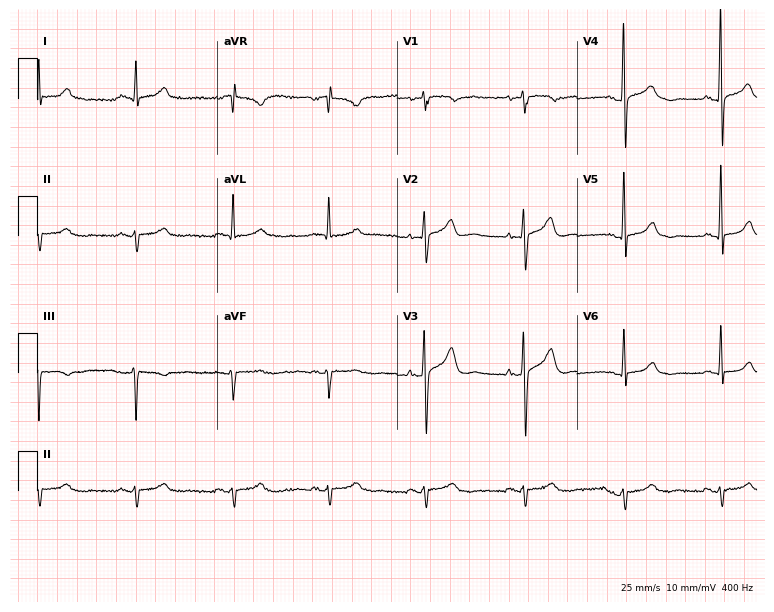
12-lead ECG from a 68-year-old male. No first-degree AV block, right bundle branch block, left bundle branch block, sinus bradycardia, atrial fibrillation or sinus tachycardia recorded for this tracing. Findings outside these six are not listed.